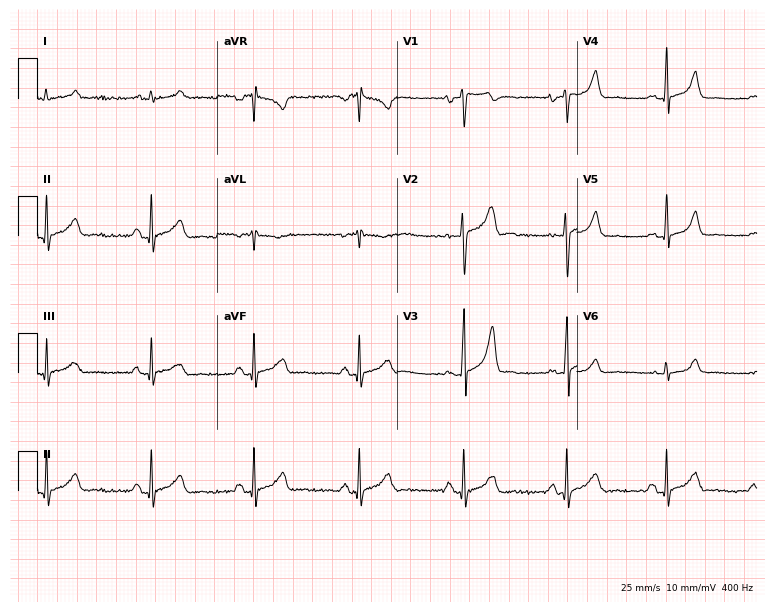
12-lead ECG from a 28-year-old male patient. Recorded interpretation: within normal limits.